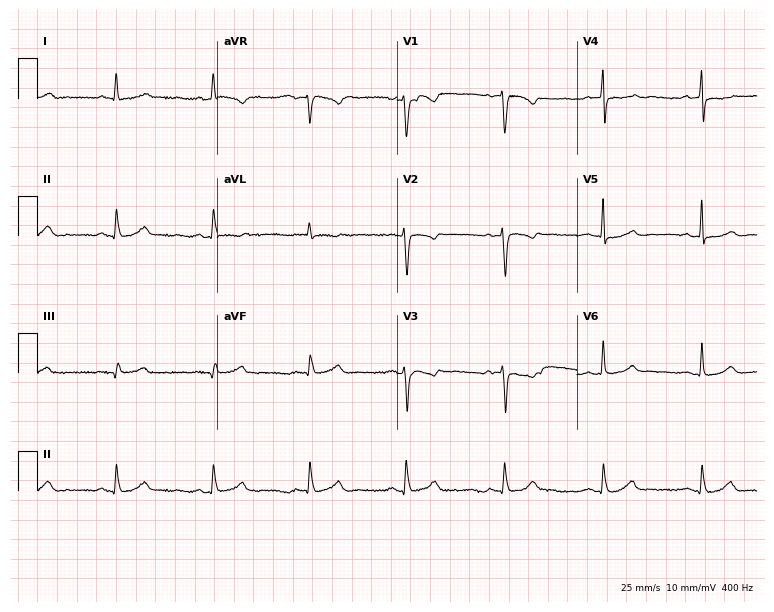
Standard 12-lead ECG recorded from a female patient, 45 years old. Read as a normal ECG.